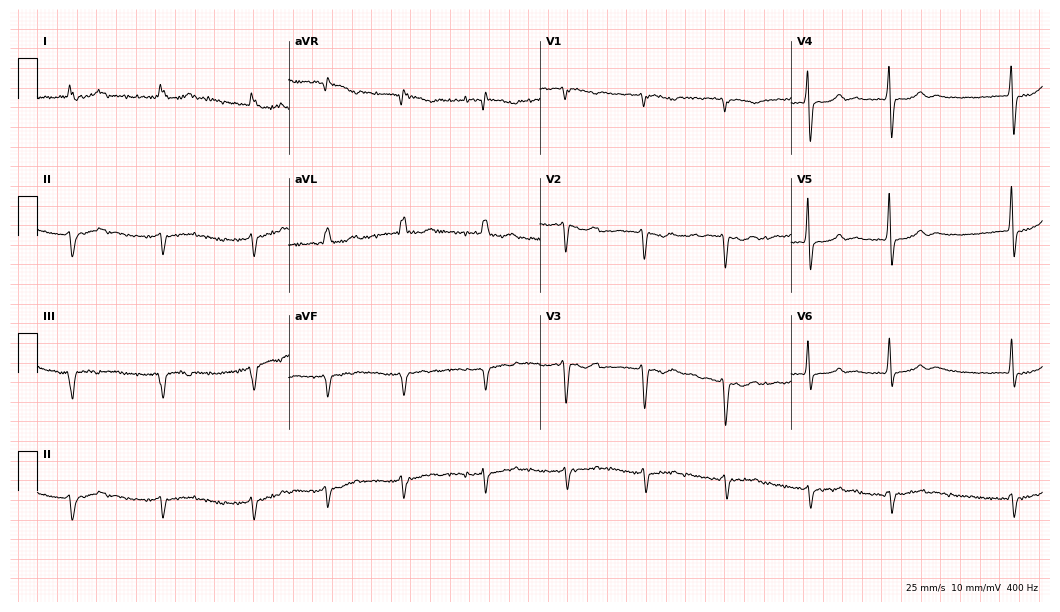
Electrocardiogram (10.2-second recording at 400 Hz), a man, 83 years old. Interpretation includes atrial fibrillation.